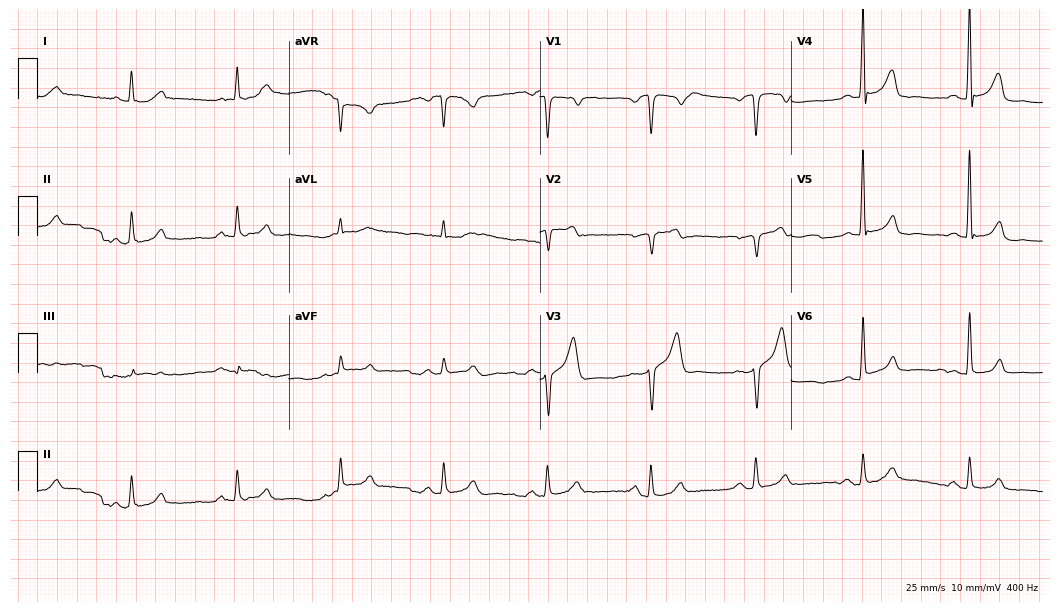
12-lead ECG from a 42-year-old male. No first-degree AV block, right bundle branch block (RBBB), left bundle branch block (LBBB), sinus bradycardia, atrial fibrillation (AF) or sinus tachycardia recorded for this tracing. Findings outside these six are not listed.